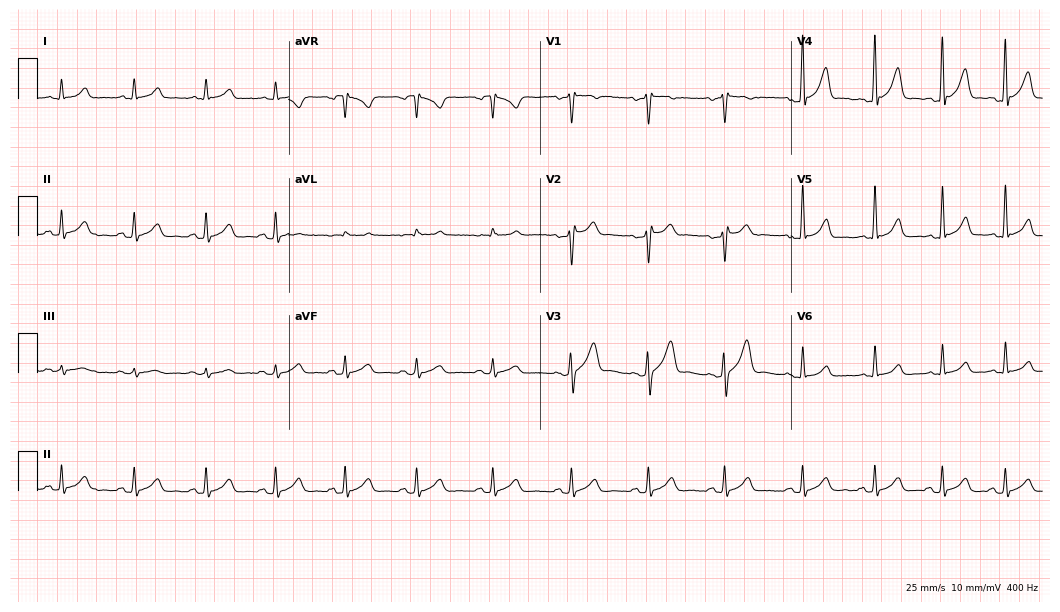
12-lead ECG from a 26-year-old man (10.2-second recording at 400 Hz). No first-degree AV block, right bundle branch block, left bundle branch block, sinus bradycardia, atrial fibrillation or sinus tachycardia recorded for this tracing.